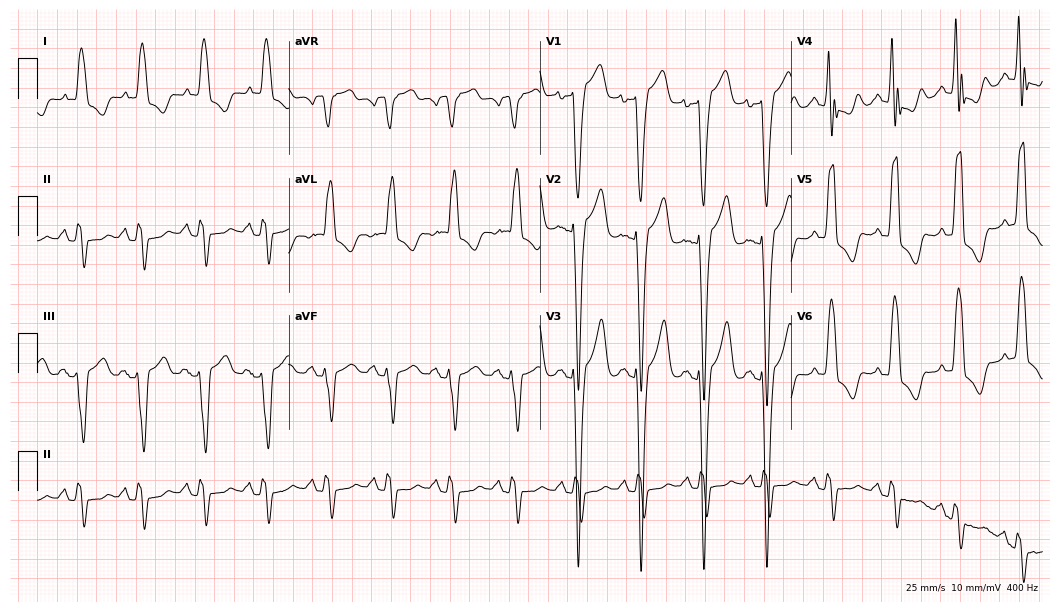
12-lead ECG (10.2-second recording at 400 Hz) from a 63-year-old woman. Findings include left bundle branch block.